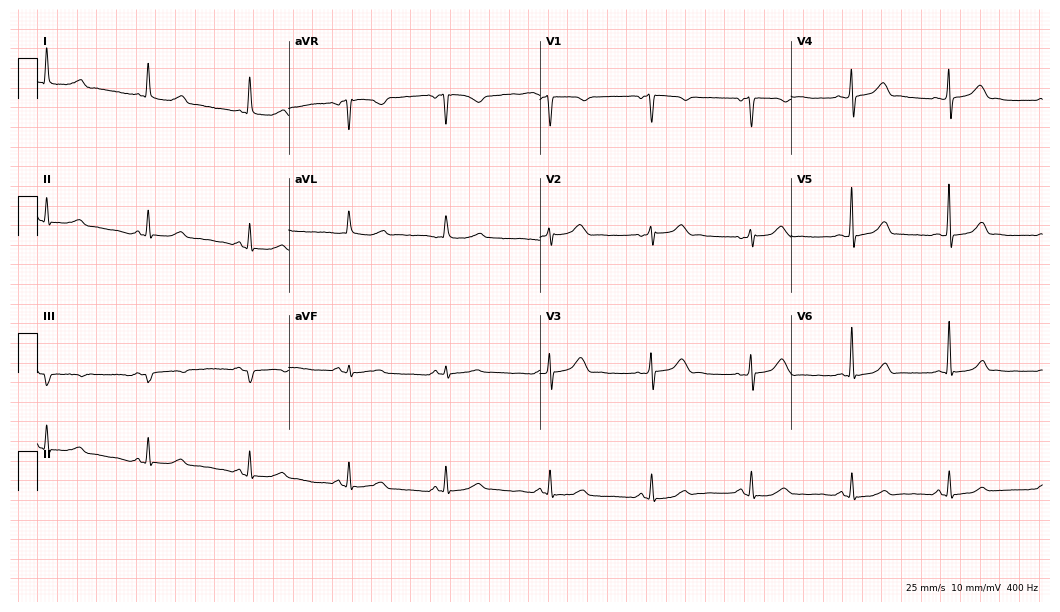
12-lead ECG from a 51-year-old woman (10.2-second recording at 400 Hz). Recorded interpretation: within normal limits.